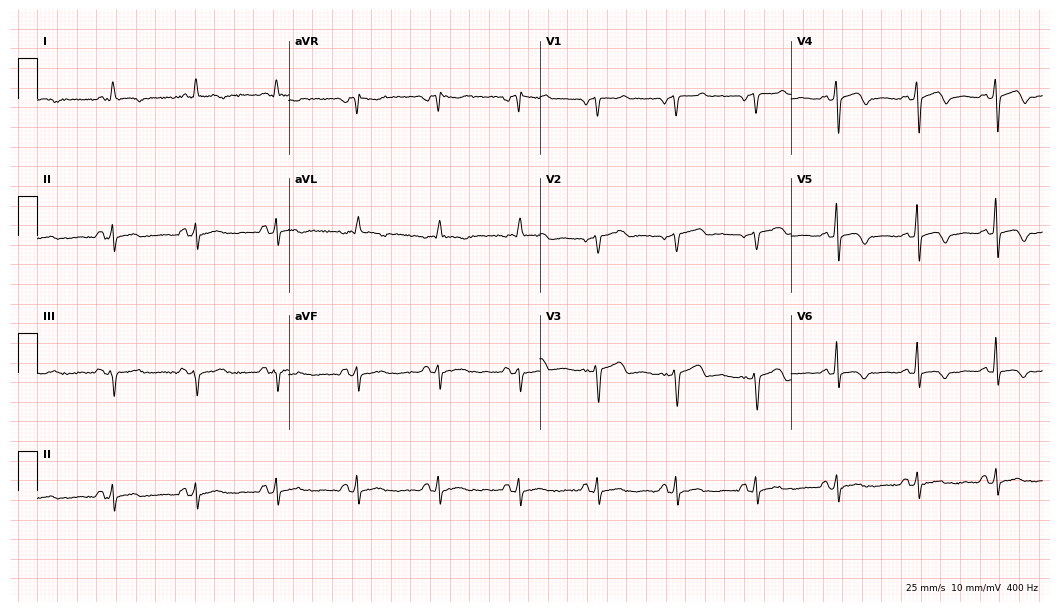
12-lead ECG from a female patient, 50 years old (10.2-second recording at 400 Hz). No first-degree AV block, right bundle branch block, left bundle branch block, sinus bradycardia, atrial fibrillation or sinus tachycardia recorded for this tracing. Findings outside these six are not listed.